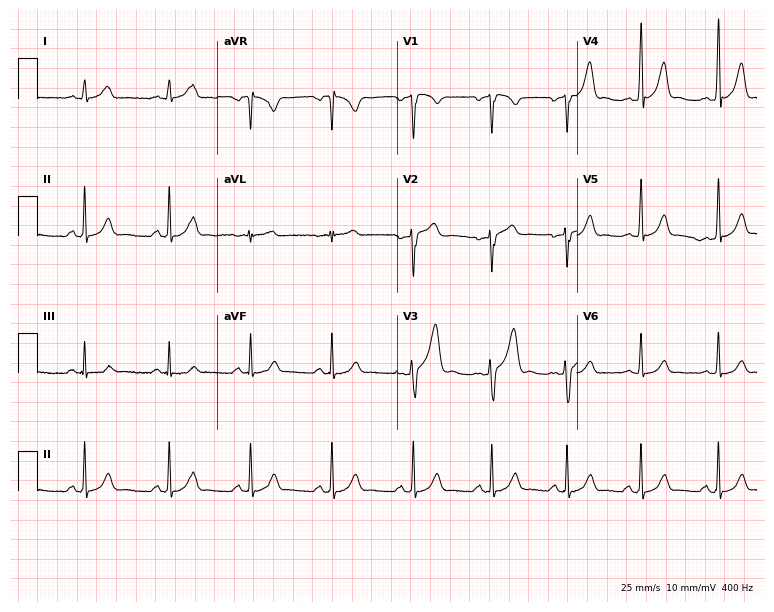
12-lead ECG from a 30-year-old man. No first-degree AV block, right bundle branch block, left bundle branch block, sinus bradycardia, atrial fibrillation or sinus tachycardia recorded for this tracing.